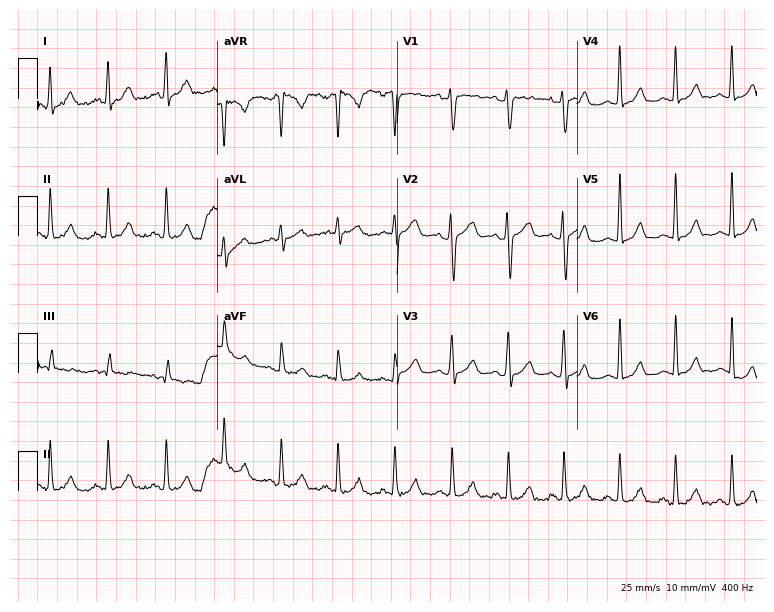
12-lead ECG from a female, 33 years old. Findings include sinus tachycardia (a sinus rate of 100 beats per minute or more).